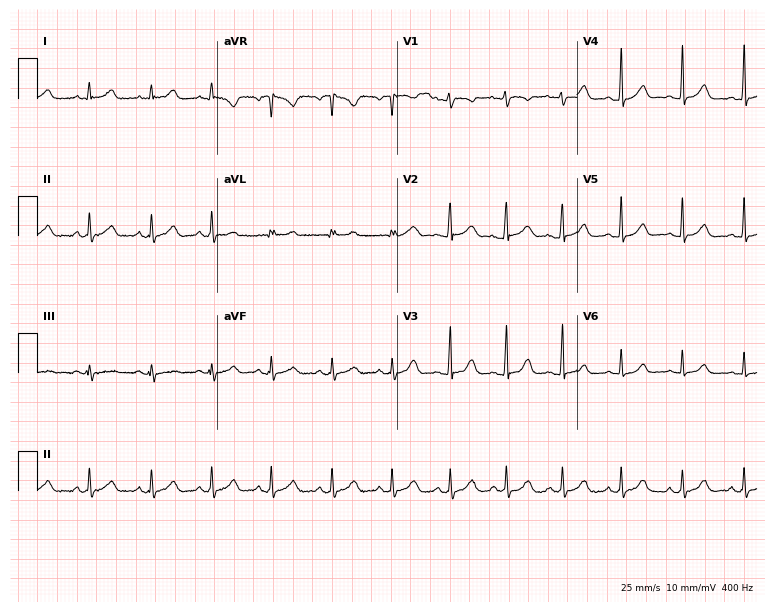
12-lead ECG (7.3-second recording at 400 Hz) from a female, 23 years old. Screened for six findings — first-degree AV block, right bundle branch block, left bundle branch block, sinus bradycardia, atrial fibrillation, sinus tachycardia — none is recorded.